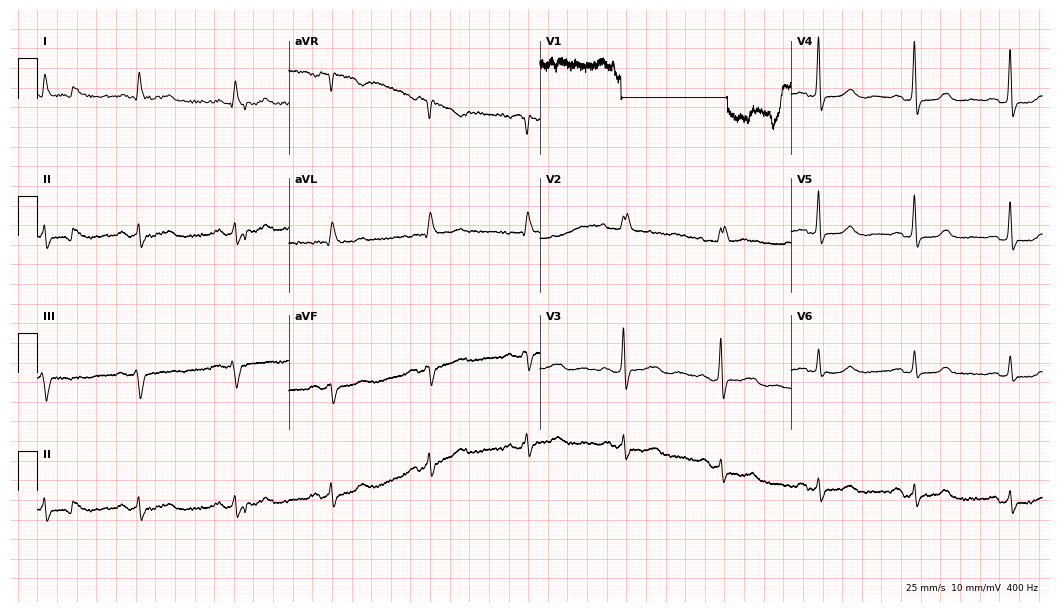
Standard 12-lead ECG recorded from a 54-year-old female (10.2-second recording at 400 Hz). None of these six findings is recorded: first-degree AV block, right bundle branch block (RBBB), left bundle branch block (LBBB), sinus bradycardia, atrial fibrillation (AF), sinus tachycardia.